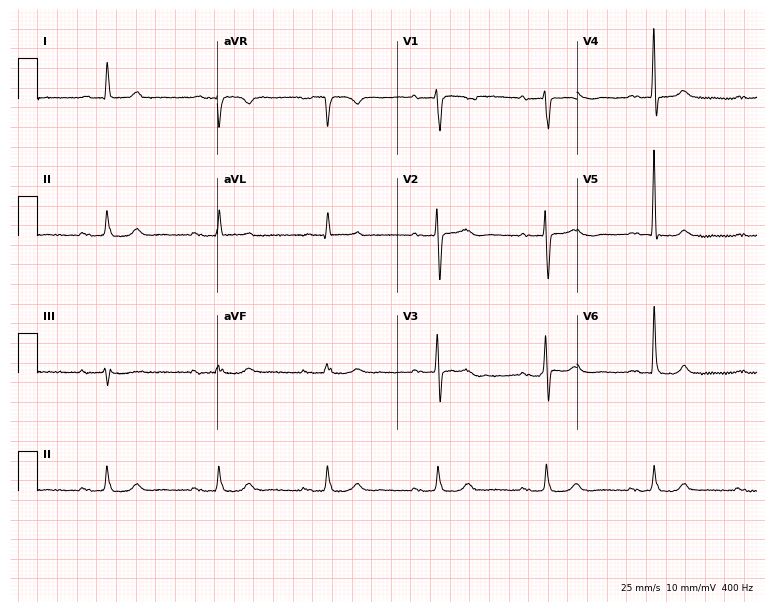
12-lead ECG from a man, 83 years old. Shows first-degree AV block.